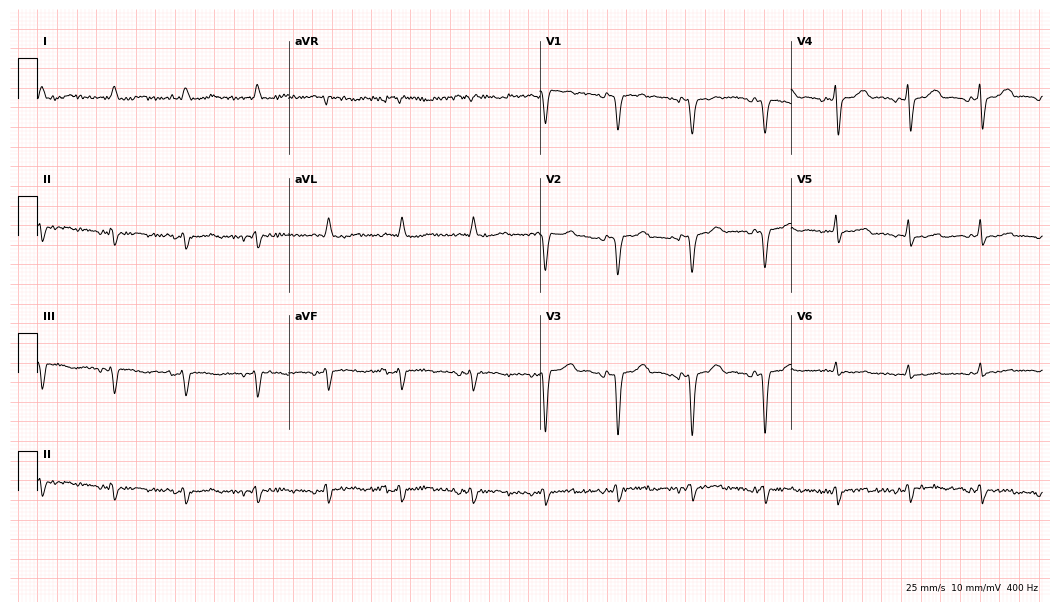
Electrocardiogram, a man, 86 years old. Of the six screened findings (first-degree AV block, right bundle branch block, left bundle branch block, sinus bradycardia, atrial fibrillation, sinus tachycardia), none is recorded. Only these six findings were labelled.